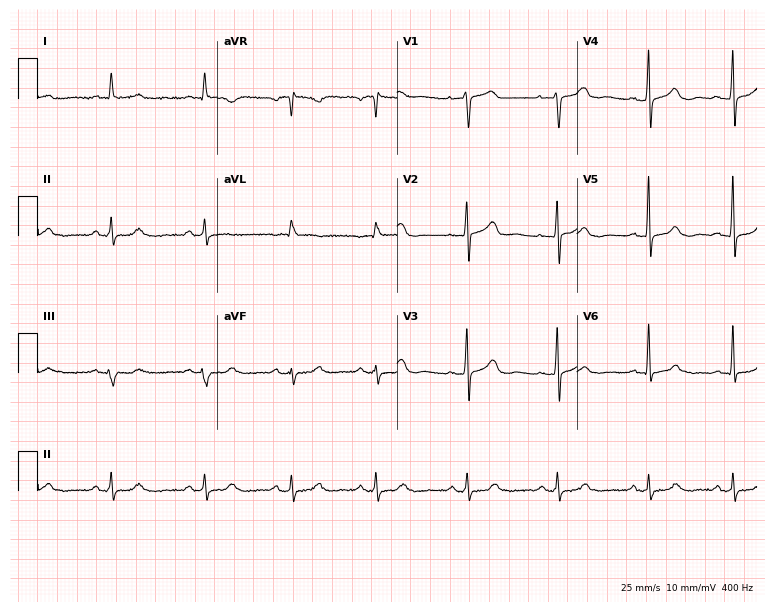
Standard 12-lead ECG recorded from a woman, 71 years old (7.3-second recording at 400 Hz). None of these six findings is recorded: first-degree AV block, right bundle branch block, left bundle branch block, sinus bradycardia, atrial fibrillation, sinus tachycardia. Findings outside these six are not listed.